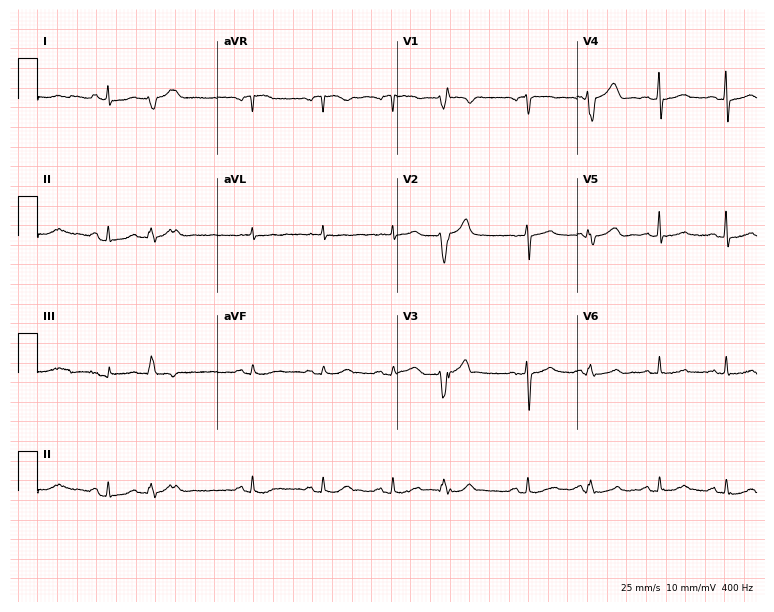
Electrocardiogram, a 65-year-old female patient. Of the six screened findings (first-degree AV block, right bundle branch block (RBBB), left bundle branch block (LBBB), sinus bradycardia, atrial fibrillation (AF), sinus tachycardia), none is recorded.